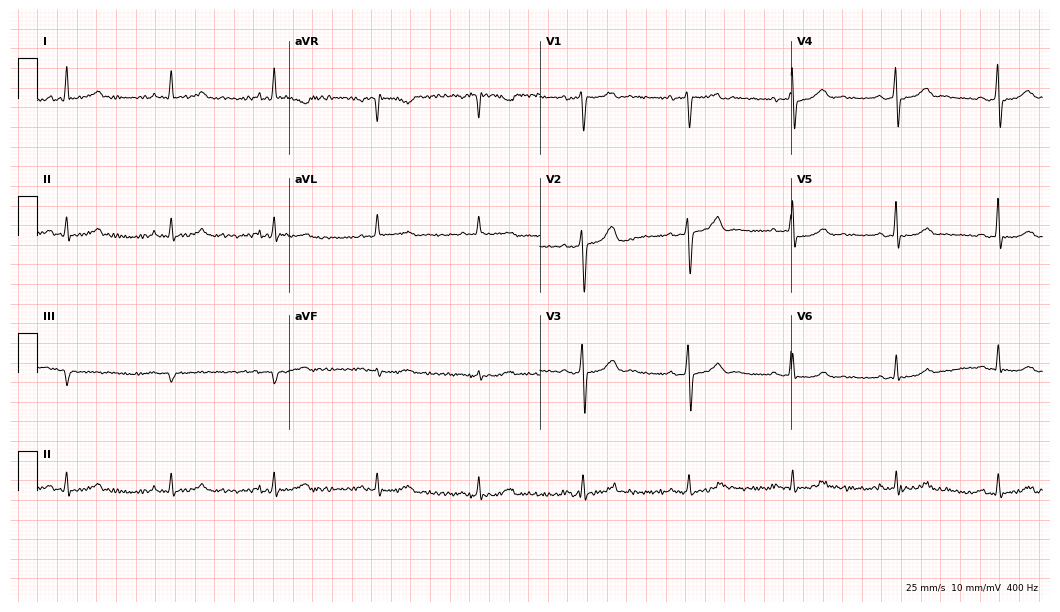
Resting 12-lead electrocardiogram (10.2-second recording at 400 Hz). Patient: a 54-year-old male. Read as a normal ECG.